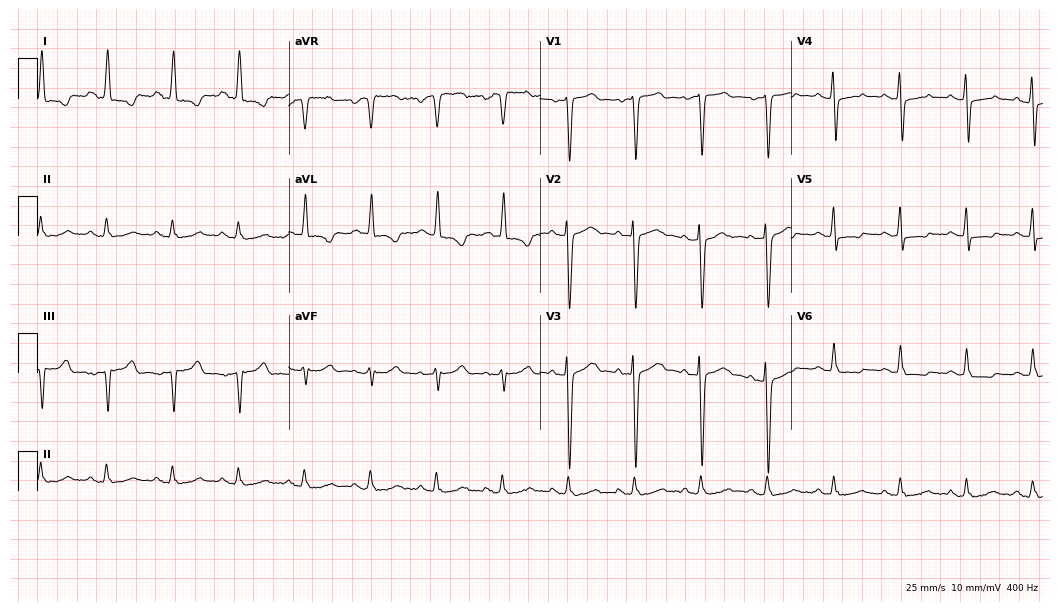
Resting 12-lead electrocardiogram. Patient: a 73-year-old woman. None of these six findings is recorded: first-degree AV block, right bundle branch block, left bundle branch block, sinus bradycardia, atrial fibrillation, sinus tachycardia.